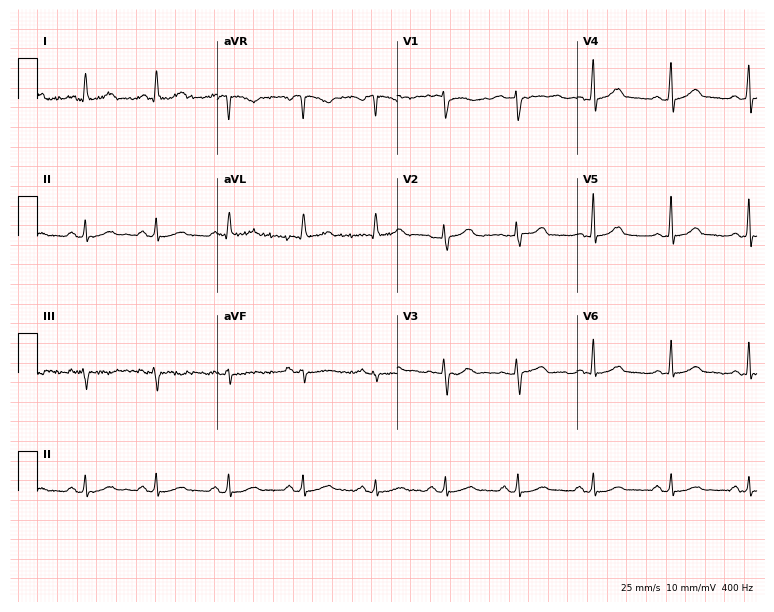
ECG (7.3-second recording at 400 Hz) — a woman, 49 years old. Labelled as a normal ECG.